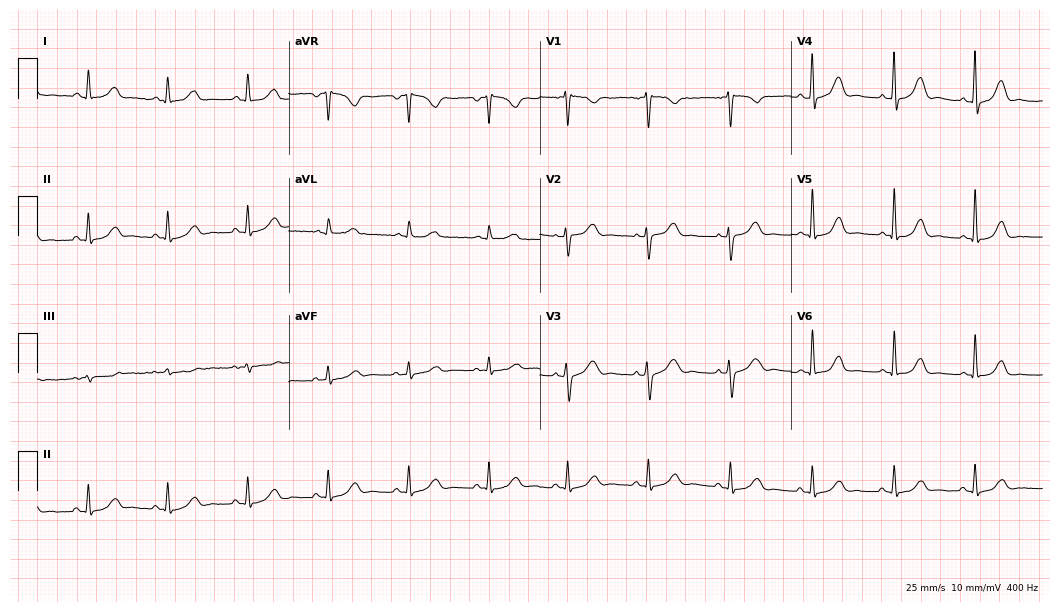
12-lead ECG from a 58-year-old female (10.2-second recording at 400 Hz). Recorded interpretation: within normal limits.